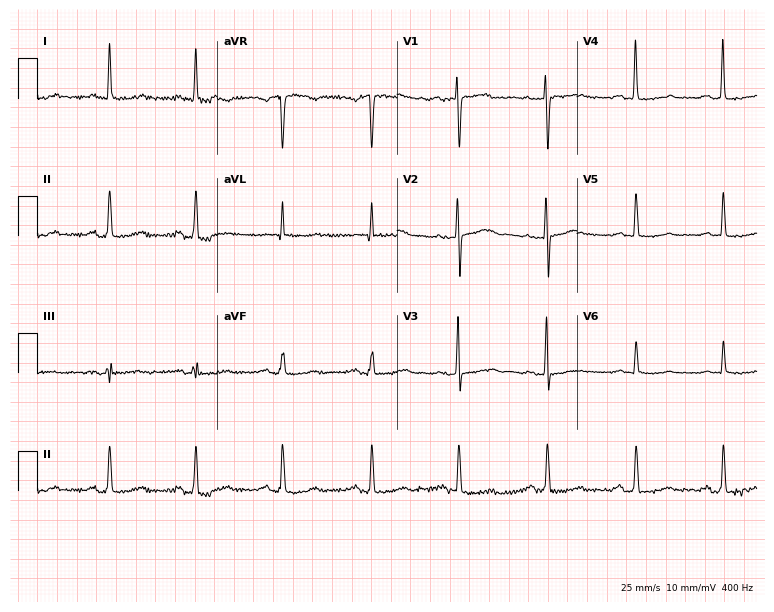
Electrocardiogram (7.3-second recording at 400 Hz), a 54-year-old female. Of the six screened findings (first-degree AV block, right bundle branch block, left bundle branch block, sinus bradycardia, atrial fibrillation, sinus tachycardia), none is recorded.